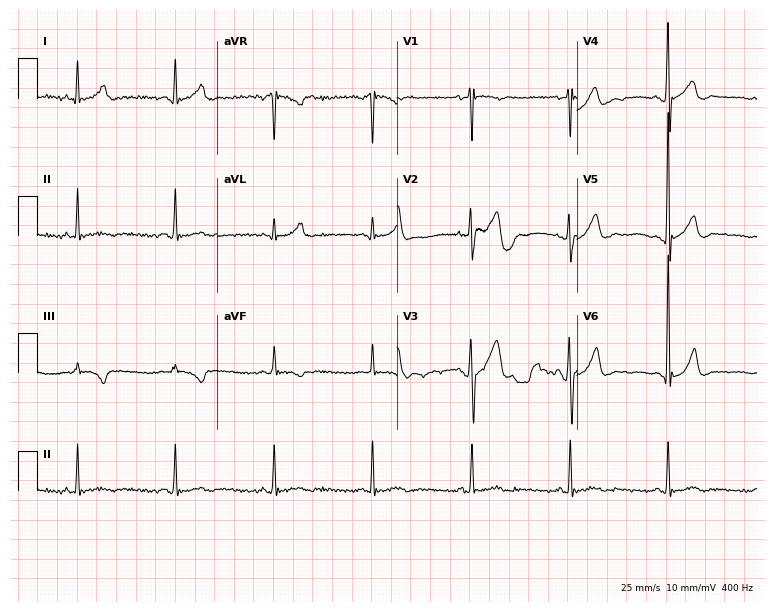
Resting 12-lead electrocardiogram (7.3-second recording at 400 Hz). Patient: a male, 33 years old. Read as a normal ECG.